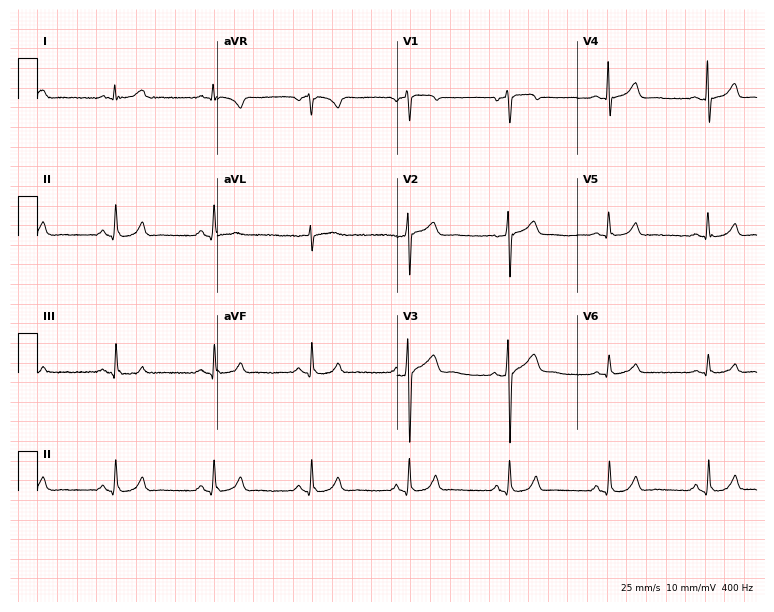
12-lead ECG from a male, 67 years old (7.3-second recording at 400 Hz). No first-degree AV block, right bundle branch block, left bundle branch block, sinus bradycardia, atrial fibrillation or sinus tachycardia recorded for this tracing. Only these six findings were labelled.